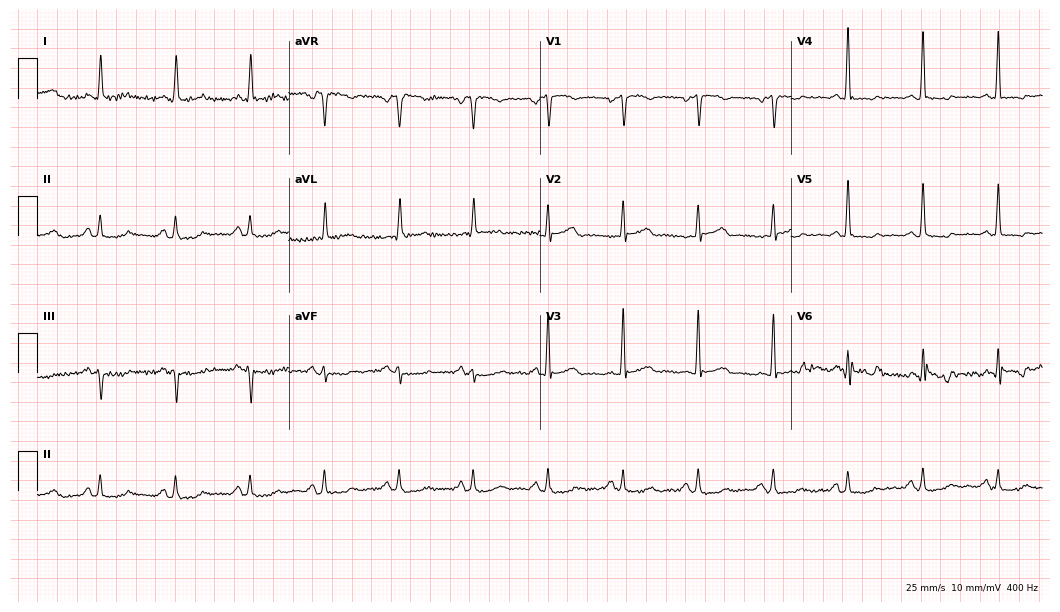
Resting 12-lead electrocardiogram (10.2-second recording at 400 Hz). Patient: a woman, 72 years old. None of these six findings is recorded: first-degree AV block, right bundle branch block, left bundle branch block, sinus bradycardia, atrial fibrillation, sinus tachycardia.